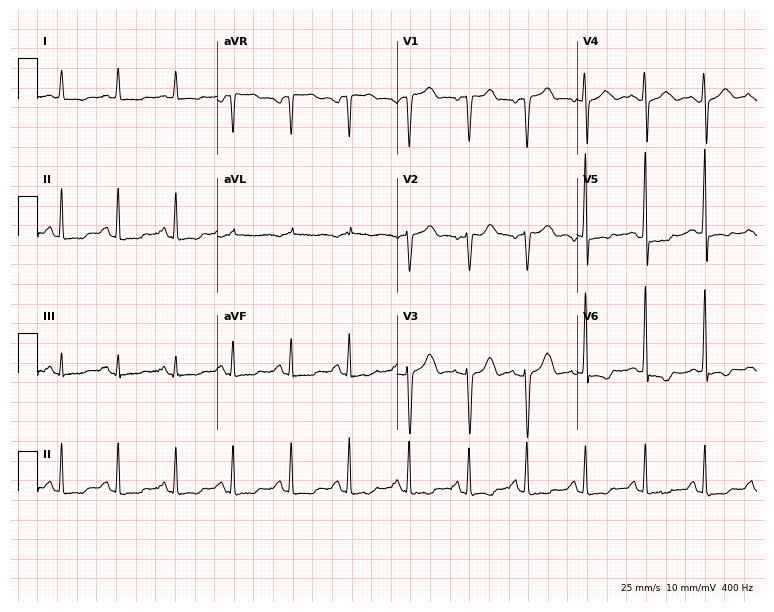
Resting 12-lead electrocardiogram (7.3-second recording at 400 Hz). Patient: a female, 48 years old. The tracing shows sinus tachycardia (a sinus rate of 100 beats per minute or more).